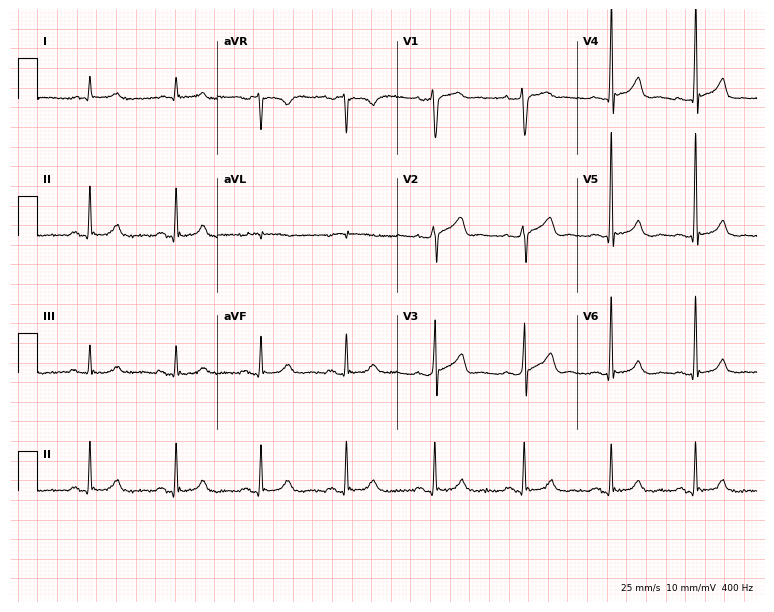
Standard 12-lead ECG recorded from a male patient, 71 years old (7.3-second recording at 400 Hz). Read as a normal ECG.